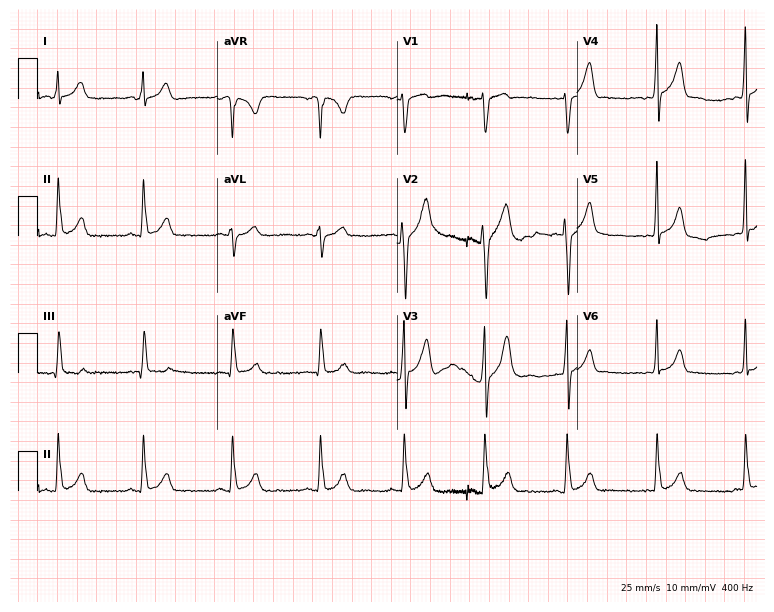
ECG (7.3-second recording at 400 Hz) — a 32-year-old male patient. Screened for six findings — first-degree AV block, right bundle branch block (RBBB), left bundle branch block (LBBB), sinus bradycardia, atrial fibrillation (AF), sinus tachycardia — none is recorded. Only these six findings were labelled.